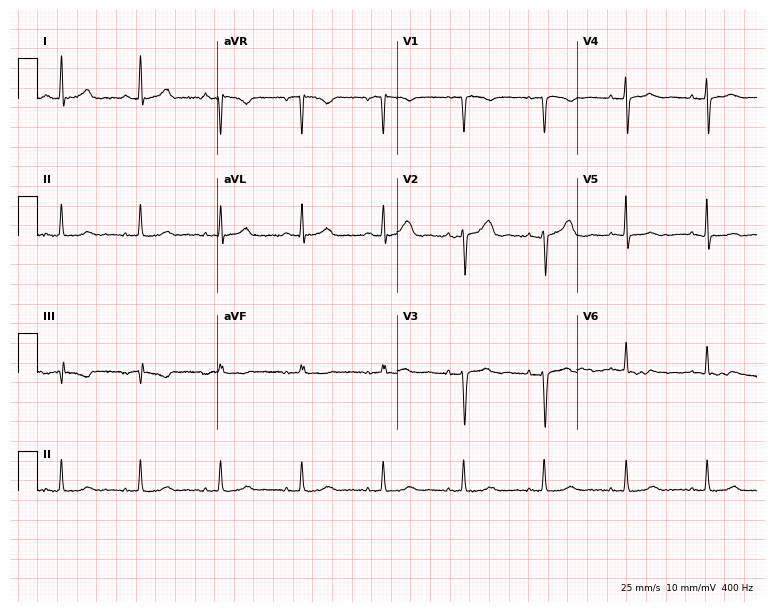
12-lead ECG from a 45-year-old woman. Screened for six findings — first-degree AV block, right bundle branch block (RBBB), left bundle branch block (LBBB), sinus bradycardia, atrial fibrillation (AF), sinus tachycardia — none is recorded.